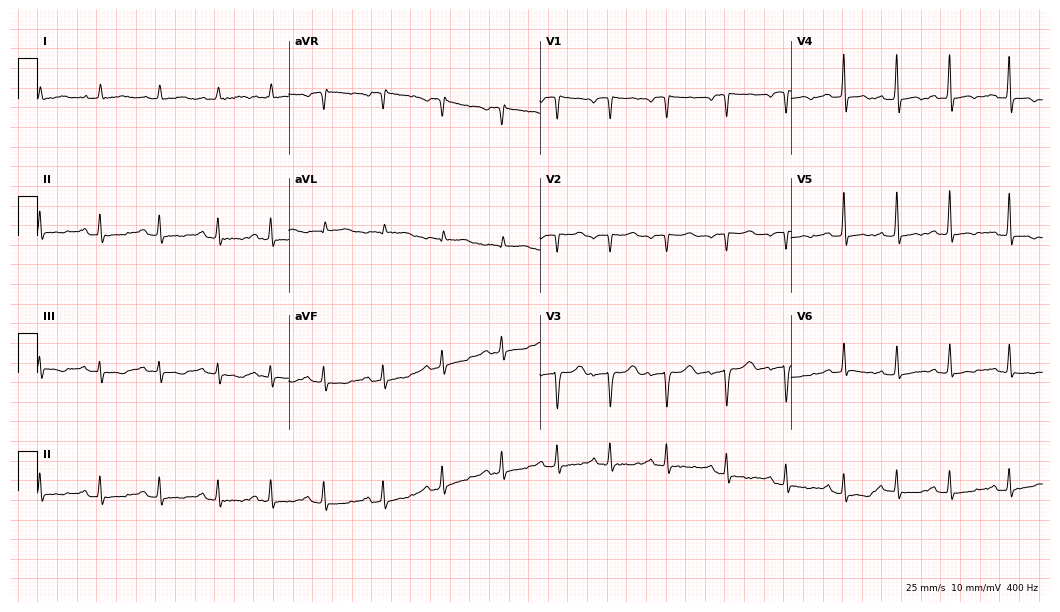
Electrocardiogram, a woman, 81 years old. Of the six screened findings (first-degree AV block, right bundle branch block, left bundle branch block, sinus bradycardia, atrial fibrillation, sinus tachycardia), none is recorded. Findings outside these six are not listed.